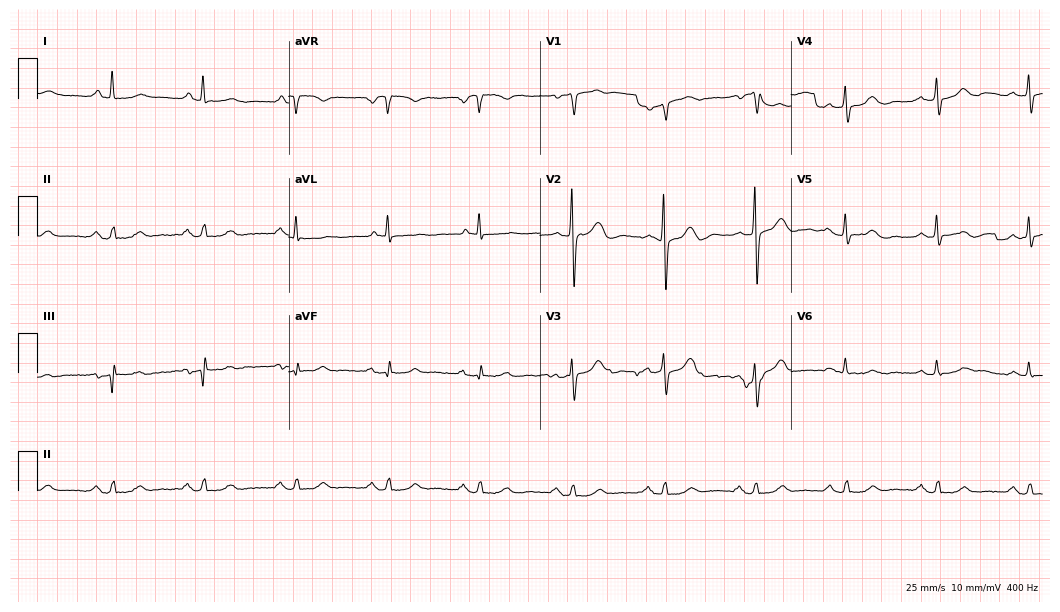
Standard 12-lead ECG recorded from a man, 75 years old. None of these six findings is recorded: first-degree AV block, right bundle branch block, left bundle branch block, sinus bradycardia, atrial fibrillation, sinus tachycardia.